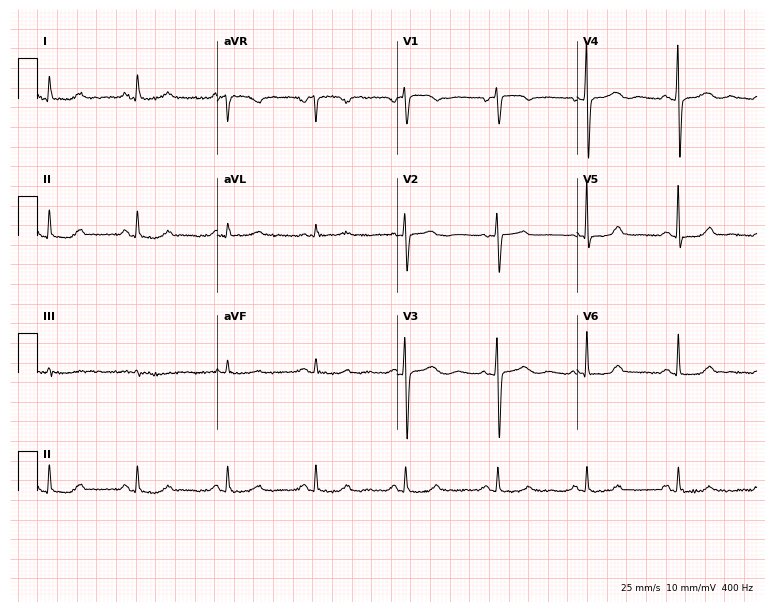
Resting 12-lead electrocardiogram. Patient: a female, 49 years old. None of these six findings is recorded: first-degree AV block, right bundle branch block, left bundle branch block, sinus bradycardia, atrial fibrillation, sinus tachycardia. Other findings, if any, are not listed.